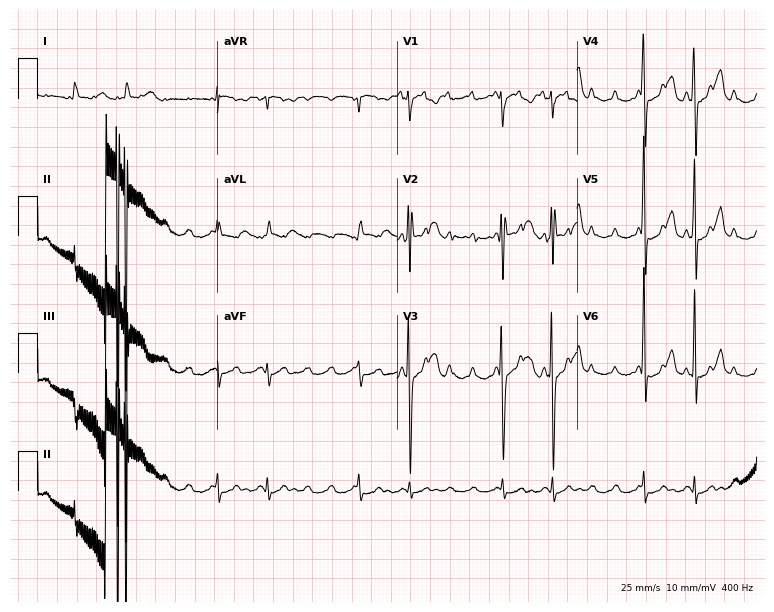
12-lead ECG from a 46-year-old male patient. No first-degree AV block, right bundle branch block (RBBB), left bundle branch block (LBBB), sinus bradycardia, atrial fibrillation (AF) or sinus tachycardia recorded for this tracing. Other findings, if any, are not listed.